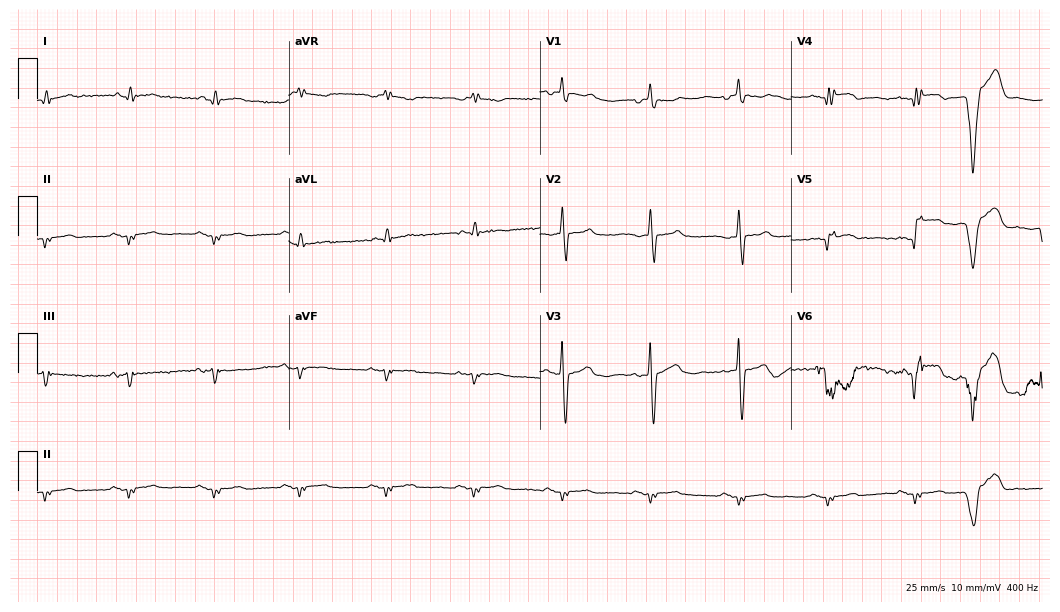
Standard 12-lead ECG recorded from a male patient, 74 years old. None of these six findings is recorded: first-degree AV block, right bundle branch block (RBBB), left bundle branch block (LBBB), sinus bradycardia, atrial fibrillation (AF), sinus tachycardia. Findings outside these six are not listed.